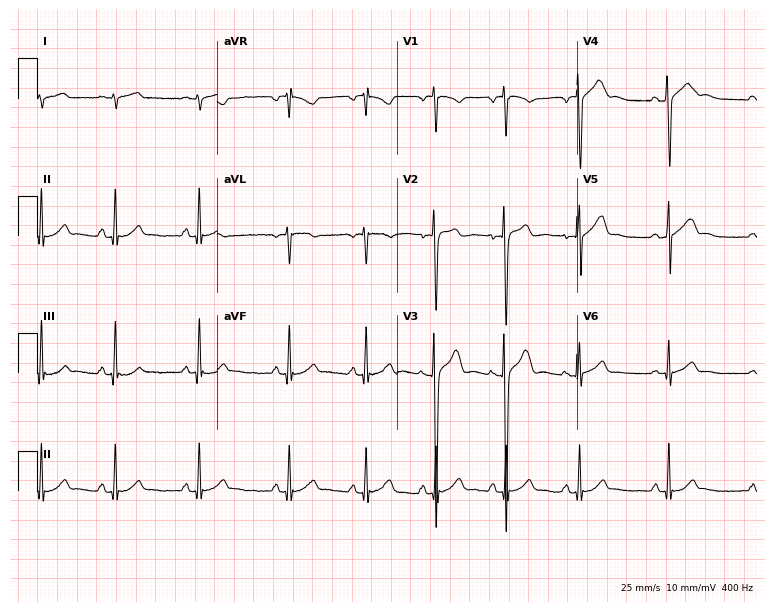
ECG — a 26-year-old male. Screened for six findings — first-degree AV block, right bundle branch block, left bundle branch block, sinus bradycardia, atrial fibrillation, sinus tachycardia — none is recorded.